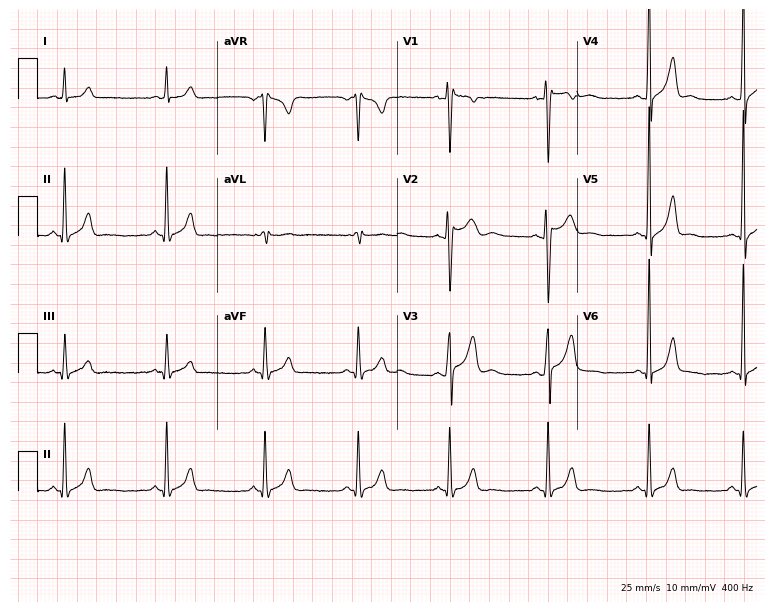
12-lead ECG from a male, 80 years old. Screened for six findings — first-degree AV block, right bundle branch block (RBBB), left bundle branch block (LBBB), sinus bradycardia, atrial fibrillation (AF), sinus tachycardia — none is recorded. Findings outside these six are not listed.